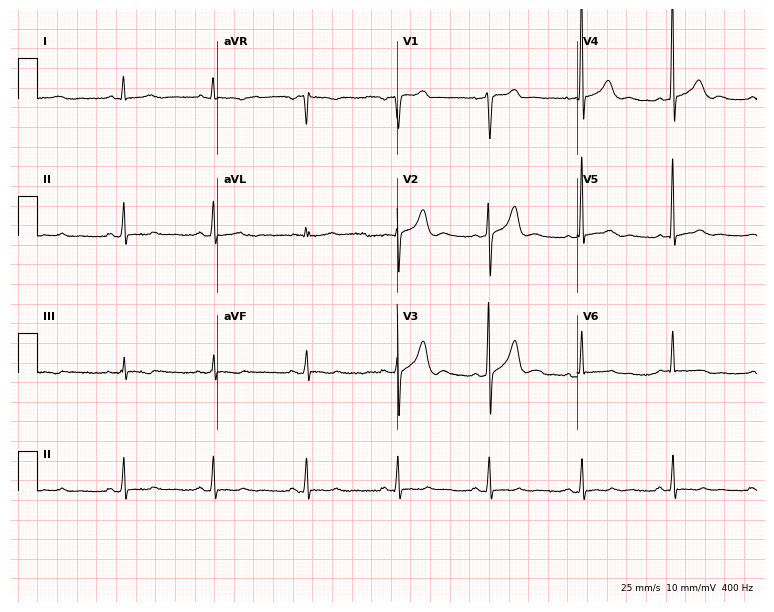
12-lead ECG from a man, 55 years old. Recorded interpretation: within normal limits.